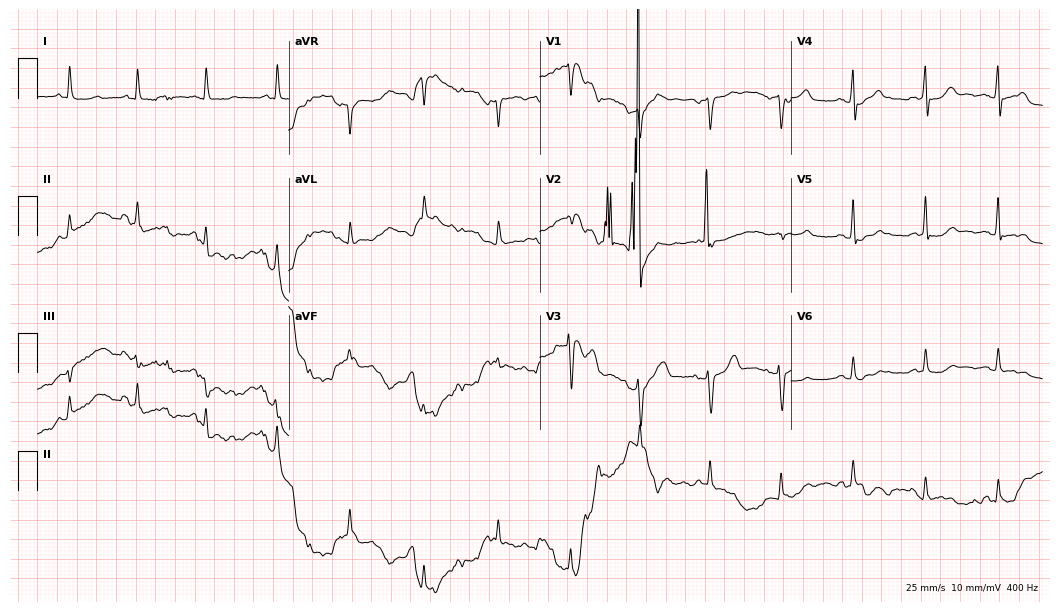
12-lead ECG from a woman, 62 years old (10.2-second recording at 400 Hz). No first-degree AV block, right bundle branch block, left bundle branch block, sinus bradycardia, atrial fibrillation or sinus tachycardia recorded for this tracing. Other findings, if any, are not listed.